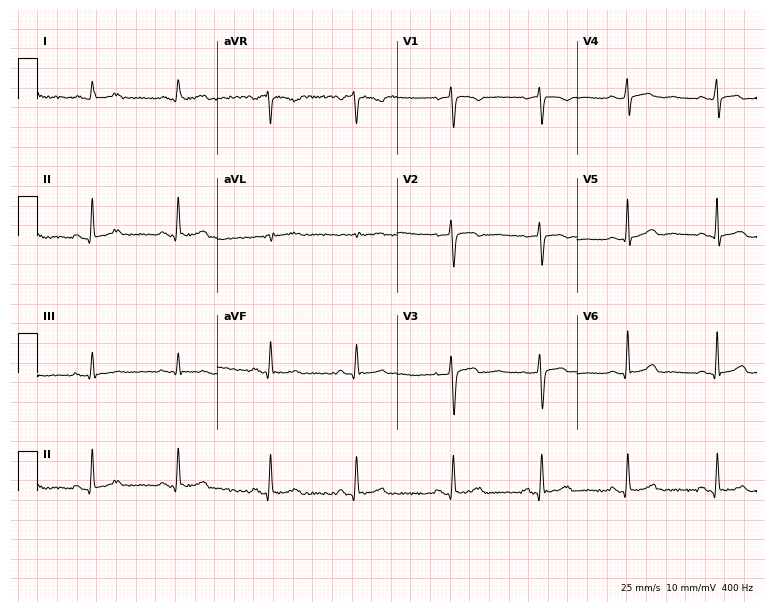
12-lead ECG from a 26-year-old woman (7.3-second recording at 400 Hz). No first-degree AV block, right bundle branch block, left bundle branch block, sinus bradycardia, atrial fibrillation or sinus tachycardia recorded for this tracing.